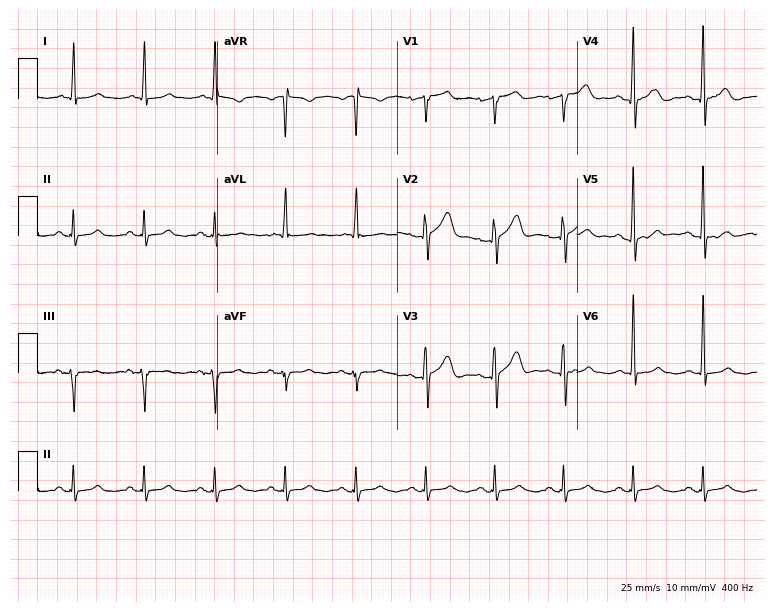
ECG (7.3-second recording at 400 Hz) — a man, 74 years old. Labelled as a normal ECG.